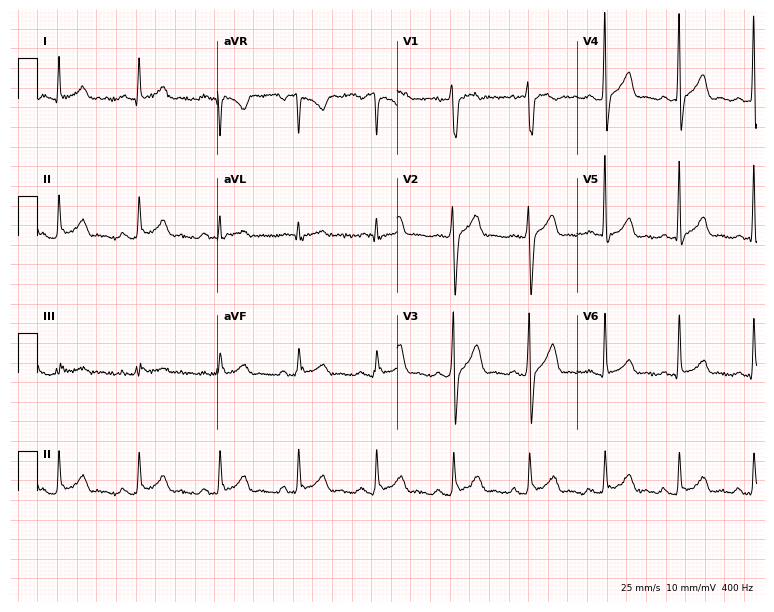
Electrocardiogram, a male patient, 43 years old. Of the six screened findings (first-degree AV block, right bundle branch block (RBBB), left bundle branch block (LBBB), sinus bradycardia, atrial fibrillation (AF), sinus tachycardia), none is recorded. Findings outside these six are not listed.